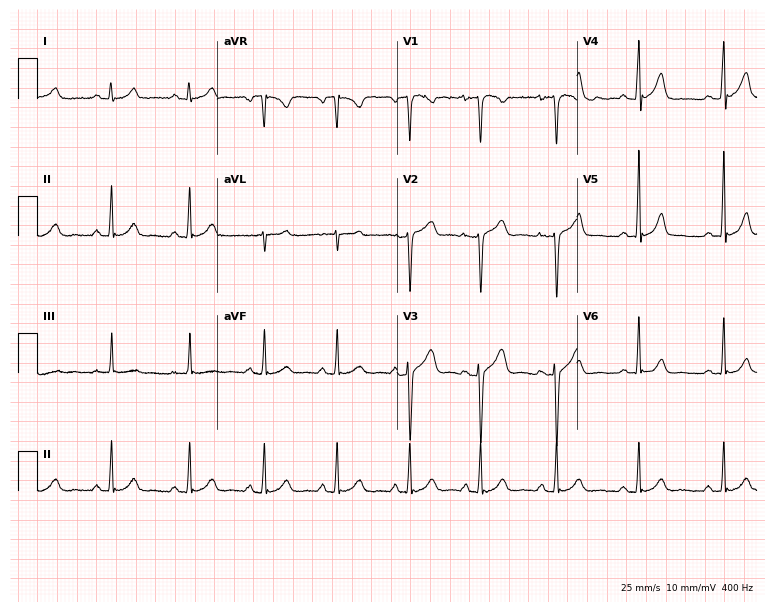
Electrocardiogram, a female, 24 years old. Of the six screened findings (first-degree AV block, right bundle branch block, left bundle branch block, sinus bradycardia, atrial fibrillation, sinus tachycardia), none is recorded. Findings outside these six are not listed.